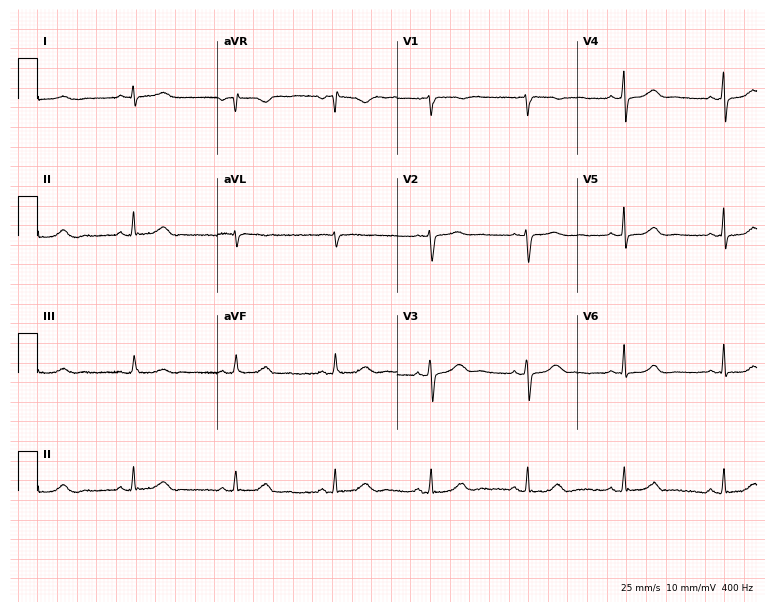
ECG — a 29-year-old woman. Labelled as a normal ECG.